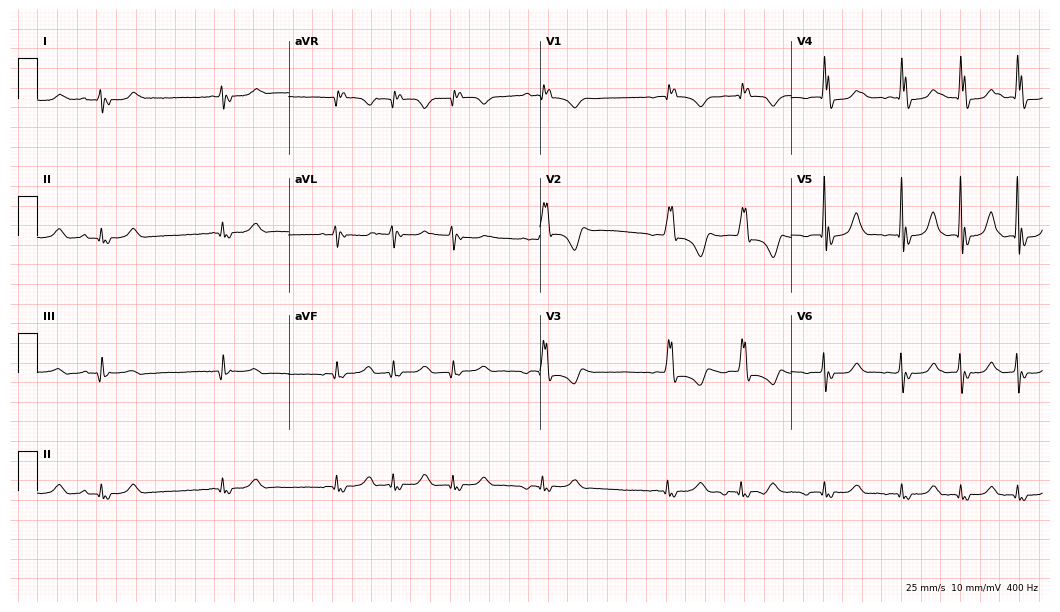
Resting 12-lead electrocardiogram (10.2-second recording at 400 Hz). Patient: a 31-year-old female. The tracing shows right bundle branch block, atrial fibrillation.